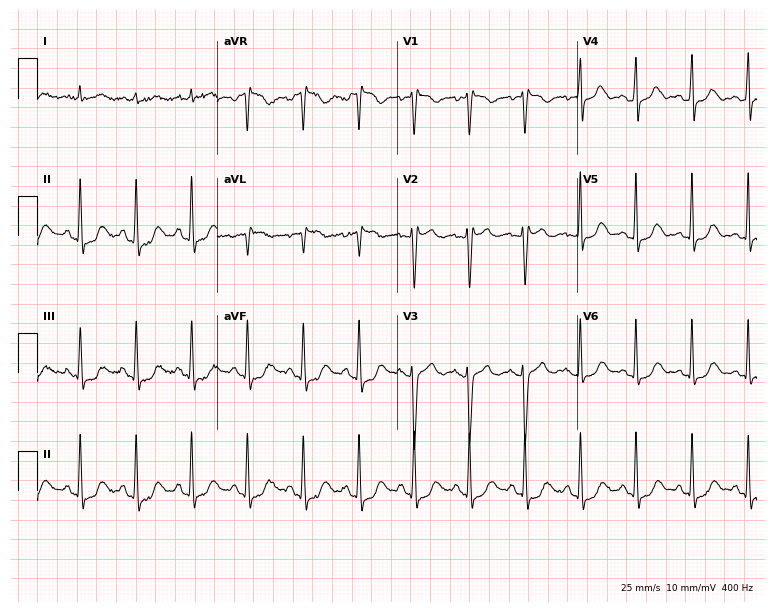
12-lead ECG from a female patient, 42 years old. Shows sinus tachycardia (a sinus rate of 100 beats per minute or more).